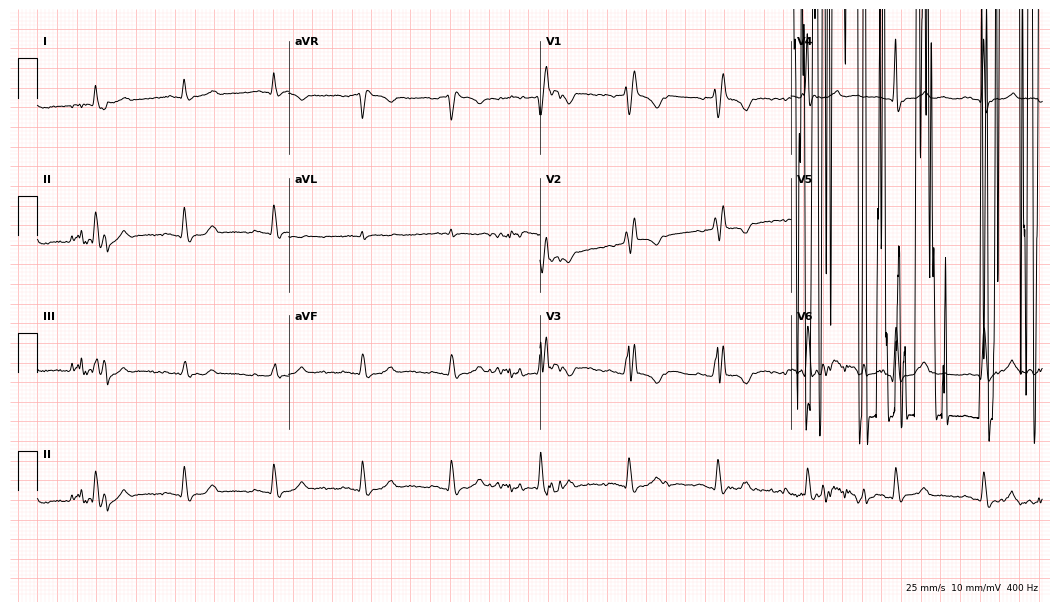
Standard 12-lead ECG recorded from a male, 53 years old (10.2-second recording at 400 Hz). None of these six findings is recorded: first-degree AV block, right bundle branch block, left bundle branch block, sinus bradycardia, atrial fibrillation, sinus tachycardia. Only these six findings were labelled.